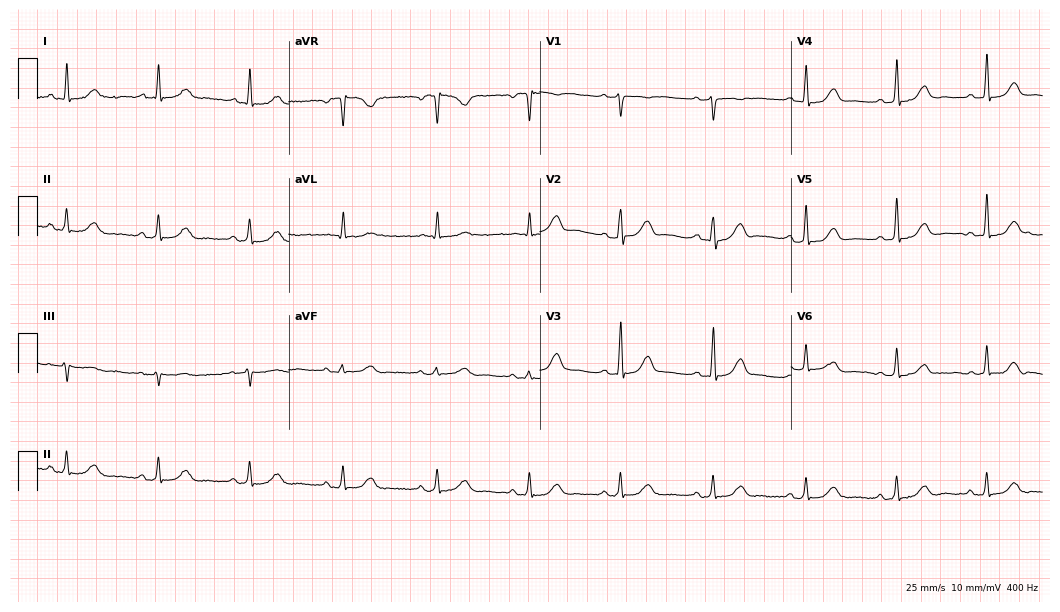
ECG (10.2-second recording at 400 Hz) — a 74-year-old female patient. Labelled as a normal ECG.